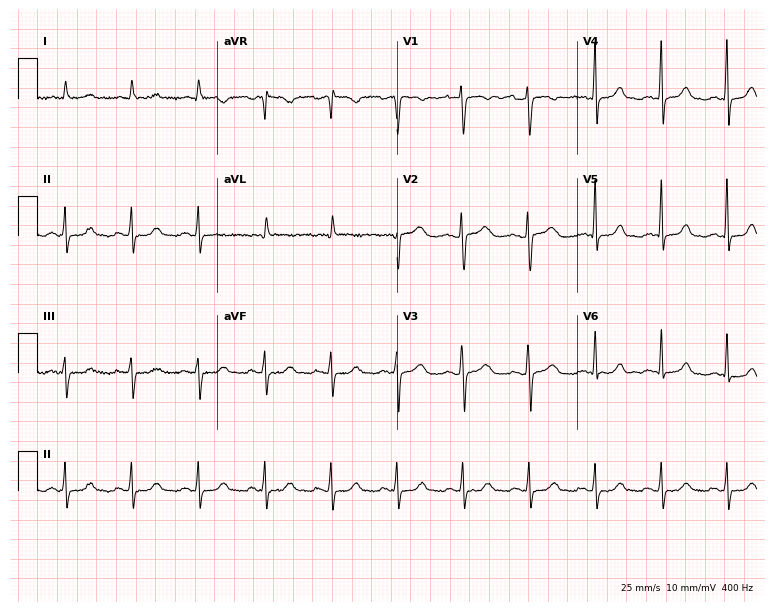
12-lead ECG from a 60-year-old female patient. Recorded interpretation: within normal limits.